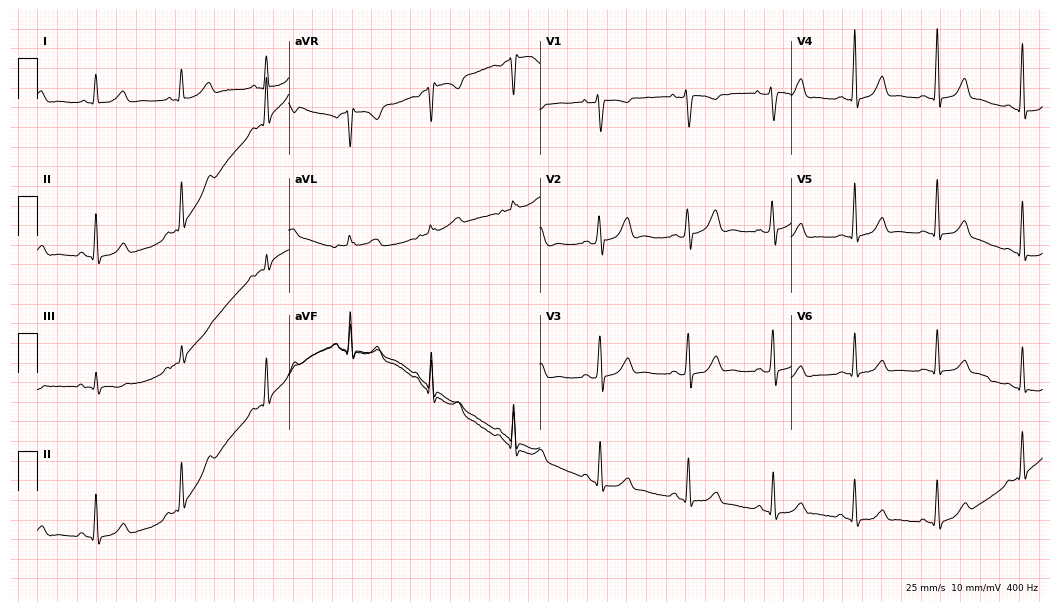
ECG (10.2-second recording at 400 Hz) — a 43-year-old female. Labelled as a normal ECG.